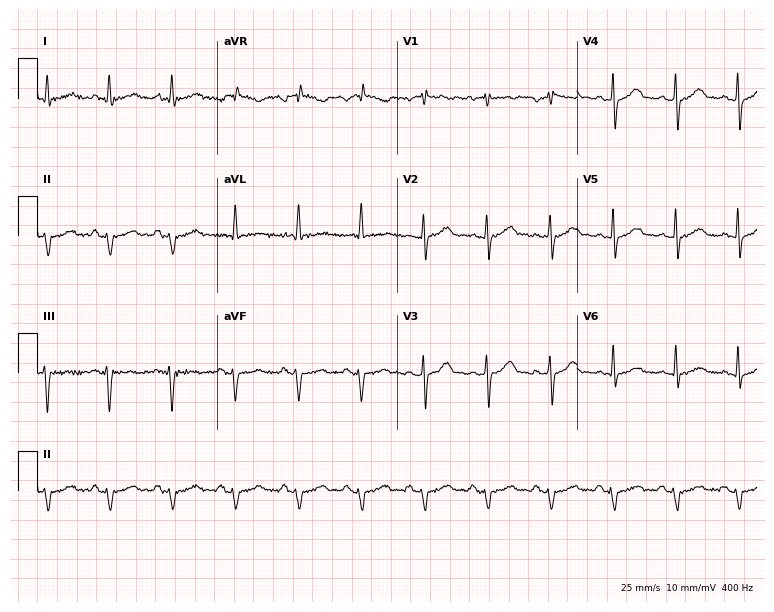
ECG (7.3-second recording at 400 Hz) — a male patient, 60 years old. Screened for six findings — first-degree AV block, right bundle branch block (RBBB), left bundle branch block (LBBB), sinus bradycardia, atrial fibrillation (AF), sinus tachycardia — none is recorded.